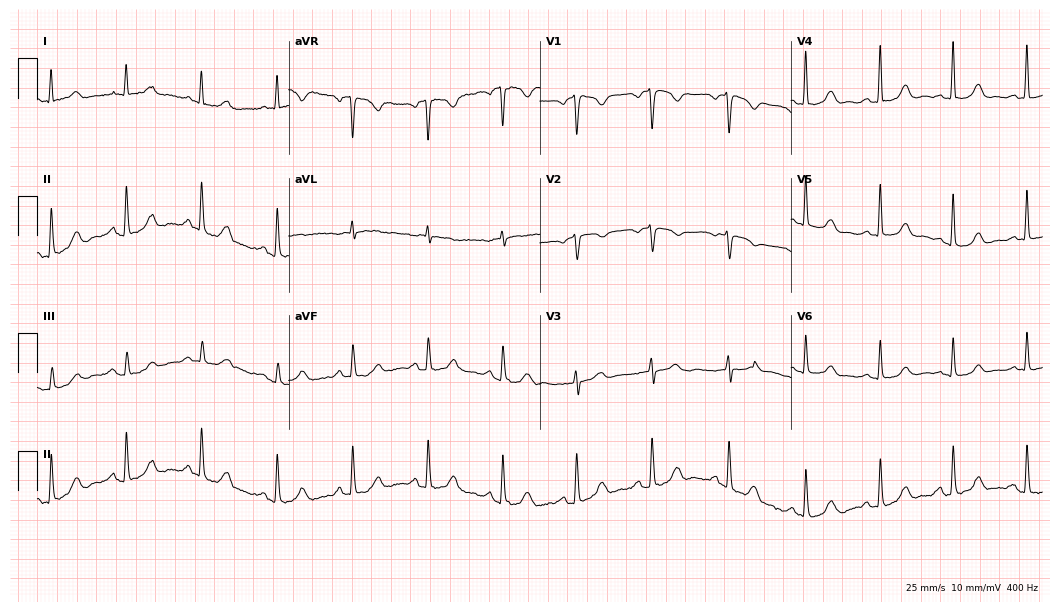
ECG (10.2-second recording at 400 Hz) — a 56-year-old female patient. Labelled as a normal ECG.